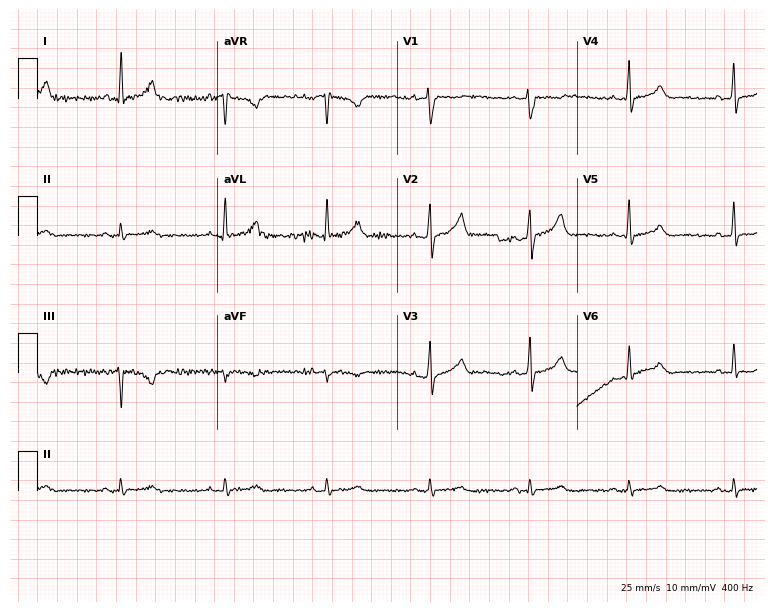
Resting 12-lead electrocardiogram. Patient: a man, 42 years old. None of these six findings is recorded: first-degree AV block, right bundle branch block, left bundle branch block, sinus bradycardia, atrial fibrillation, sinus tachycardia. Findings outside these six are not listed.